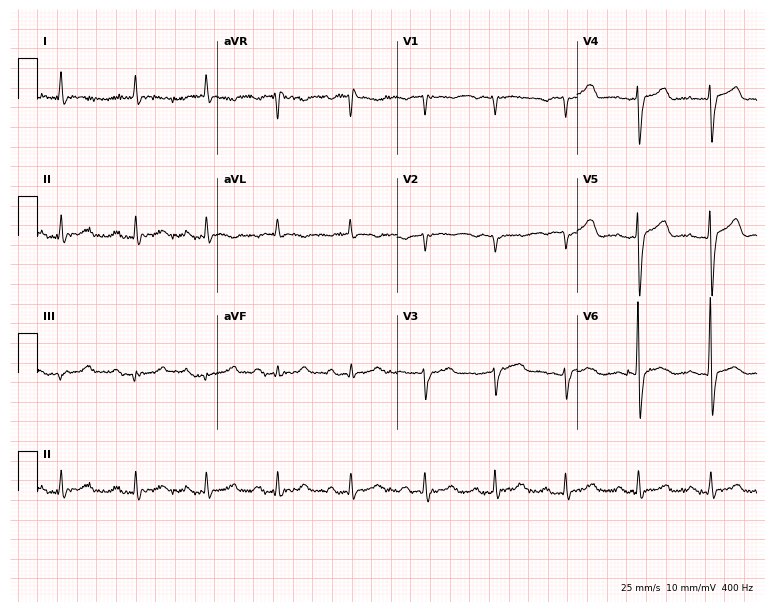
12-lead ECG from a woman, 79 years old. Findings include first-degree AV block.